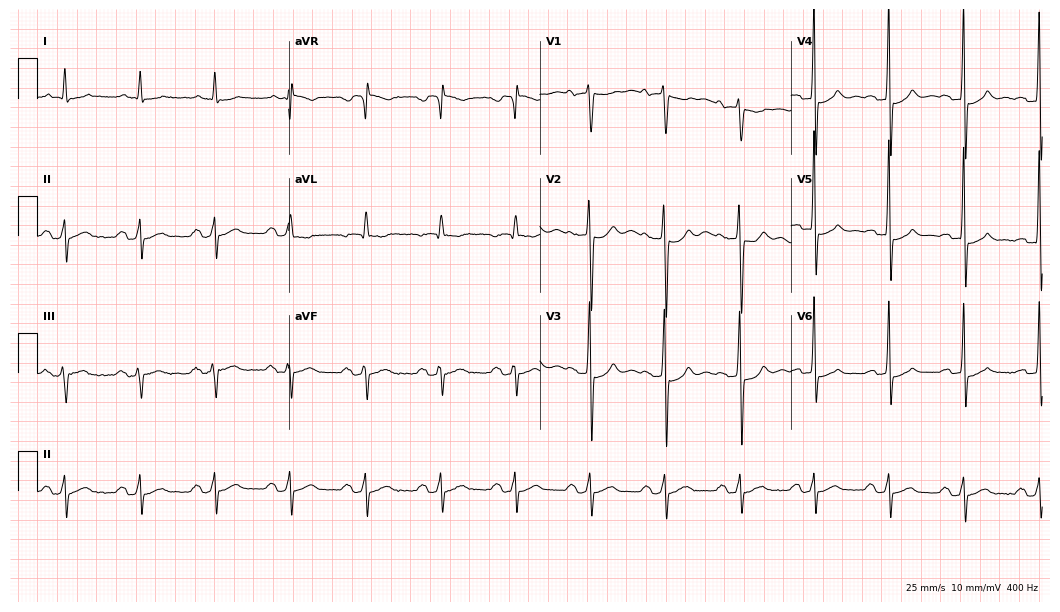
ECG (10.2-second recording at 400 Hz) — an 83-year-old male patient. Screened for six findings — first-degree AV block, right bundle branch block (RBBB), left bundle branch block (LBBB), sinus bradycardia, atrial fibrillation (AF), sinus tachycardia — none is recorded.